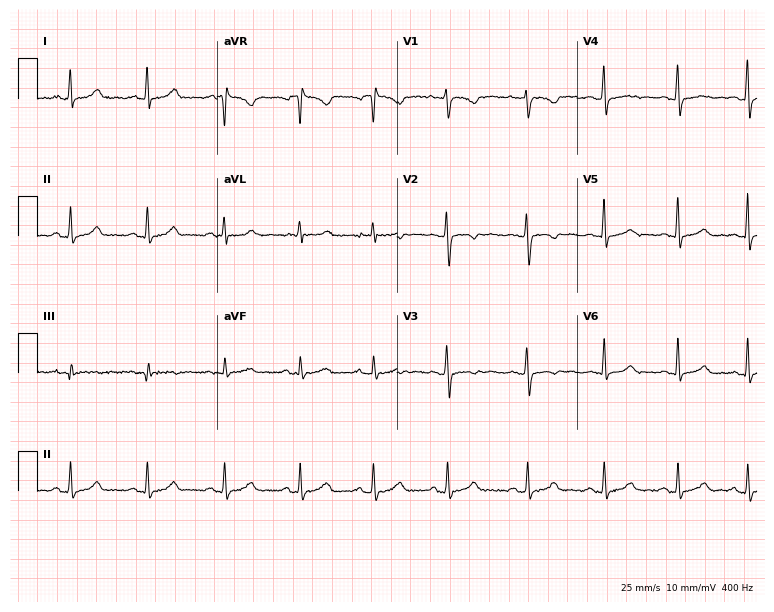
12-lead ECG (7.3-second recording at 400 Hz) from a female patient, 24 years old. Labelled as a normal ECG.